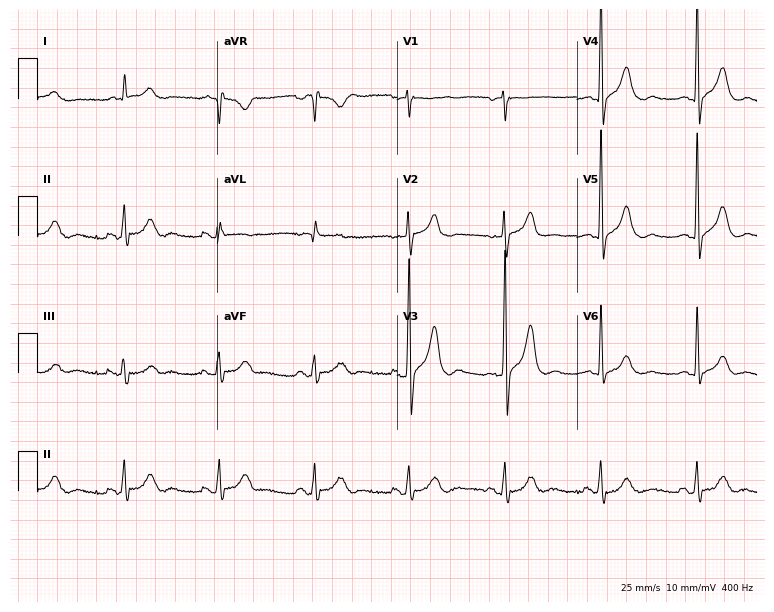
Electrocardiogram, a male, 78 years old. Overall reading on record: normal ECG.